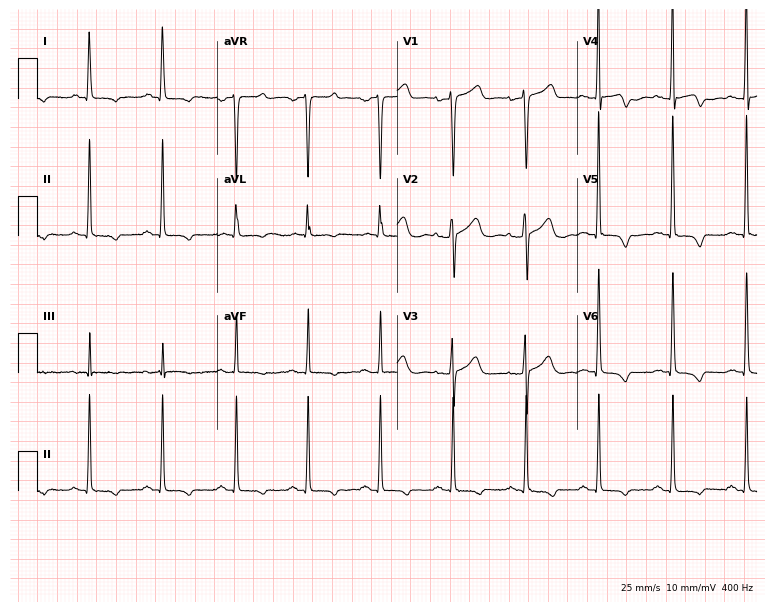
12-lead ECG from a female, 61 years old (7.3-second recording at 400 Hz). No first-degree AV block, right bundle branch block (RBBB), left bundle branch block (LBBB), sinus bradycardia, atrial fibrillation (AF) or sinus tachycardia recorded for this tracing.